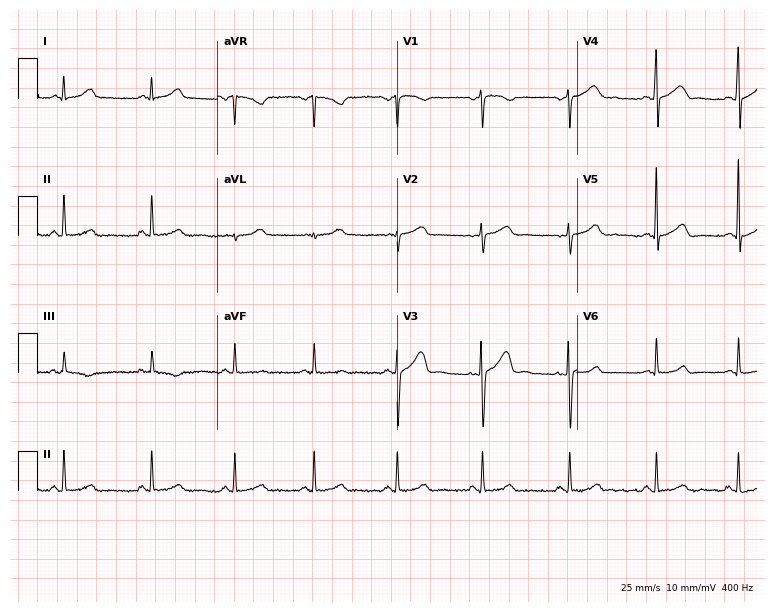
Standard 12-lead ECG recorded from a female, 30 years old. None of these six findings is recorded: first-degree AV block, right bundle branch block (RBBB), left bundle branch block (LBBB), sinus bradycardia, atrial fibrillation (AF), sinus tachycardia. Only these six findings were labelled.